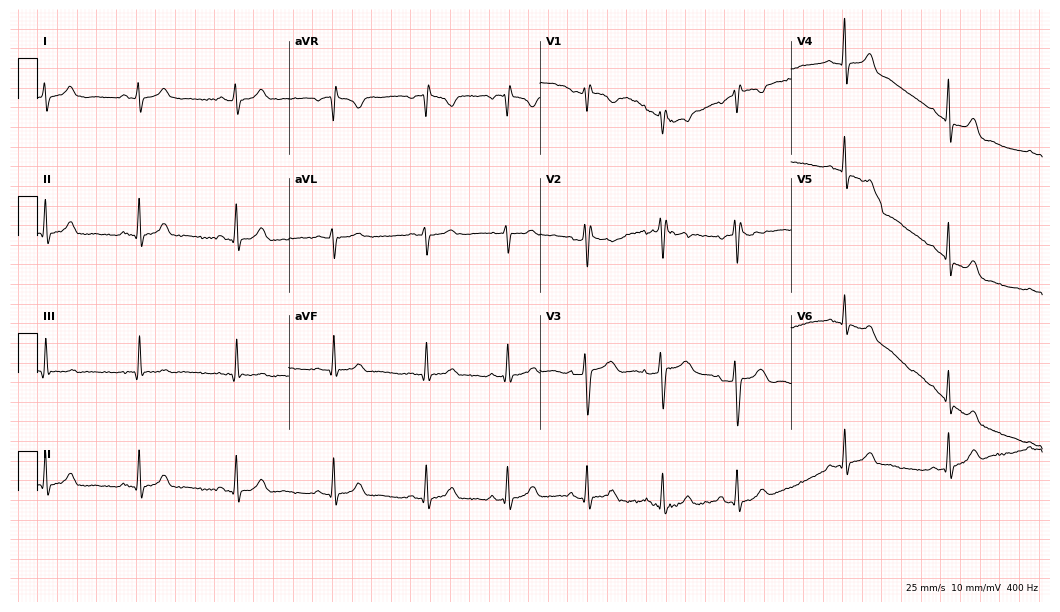
Standard 12-lead ECG recorded from a 23-year-old woman (10.2-second recording at 400 Hz). None of these six findings is recorded: first-degree AV block, right bundle branch block (RBBB), left bundle branch block (LBBB), sinus bradycardia, atrial fibrillation (AF), sinus tachycardia.